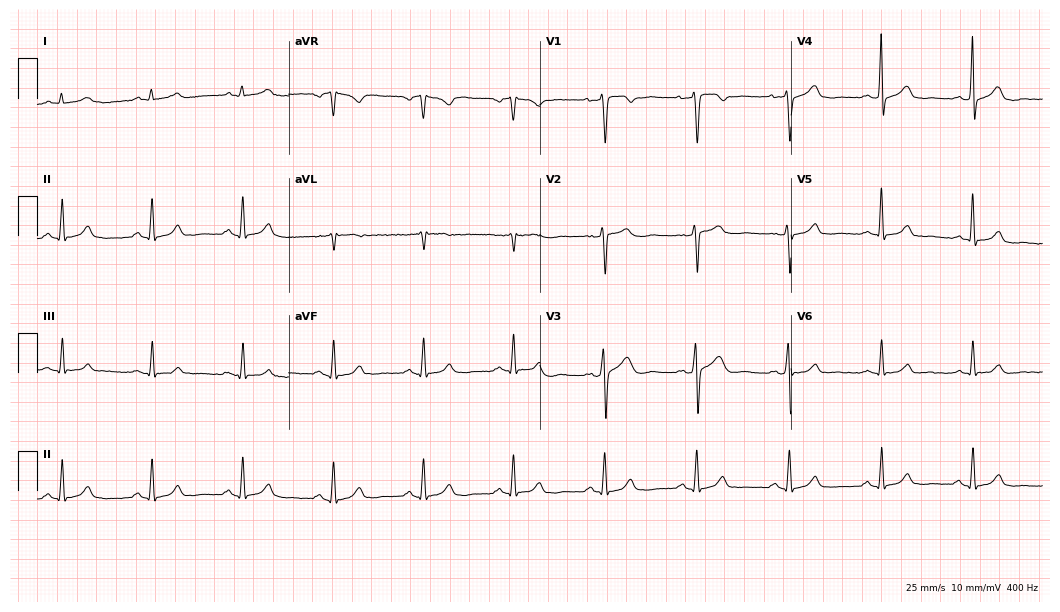
12-lead ECG from a 49-year-old male. Screened for six findings — first-degree AV block, right bundle branch block (RBBB), left bundle branch block (LBBB), sinus bradycardia, atrial fibrillation (AF), sinus tachycardia — none is recorded. Other findings, if any, are not listed.